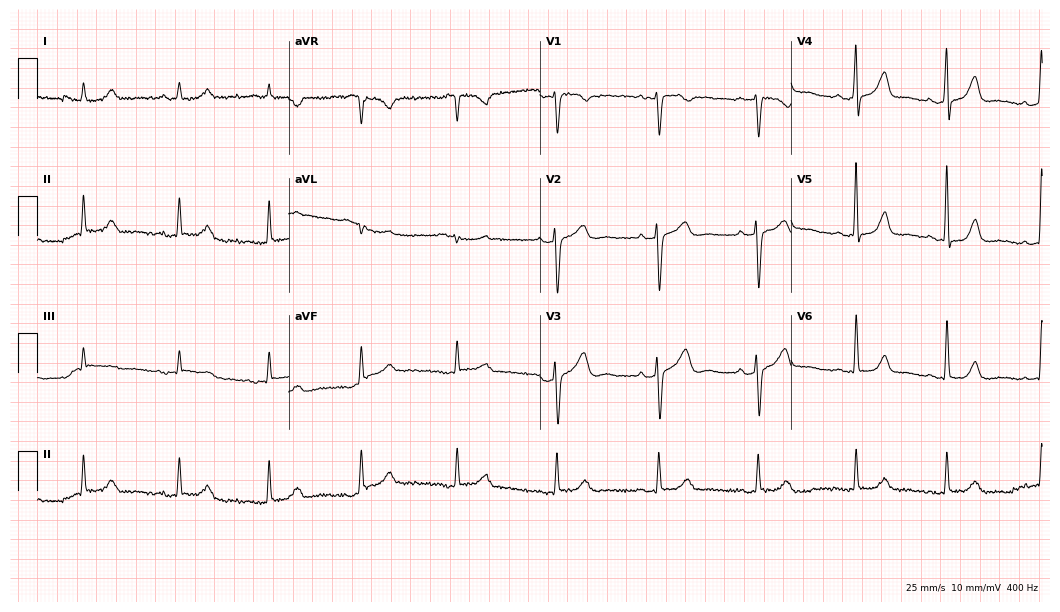
Standard 12-lead ECG recorded from a female, 55 years old (10.2-second recording at 400 Hz). Read as a normal ECG.